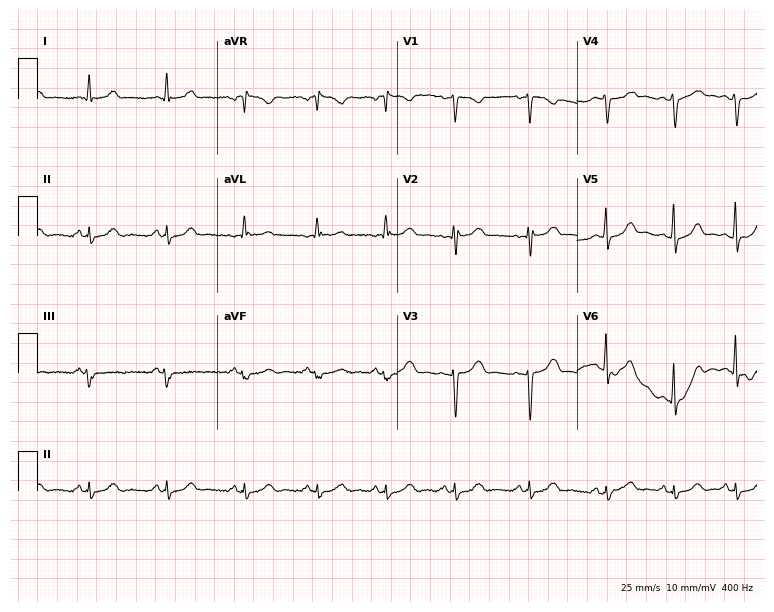
12-lead ECG from a woman, 26 years old. No first-degree AV block, right bundle branch block (RBBB), left bundle branch block (LBBB), sinus bradycardia, atrial fibrillation (AF) or sinus tachycardia recorded for this tracing.